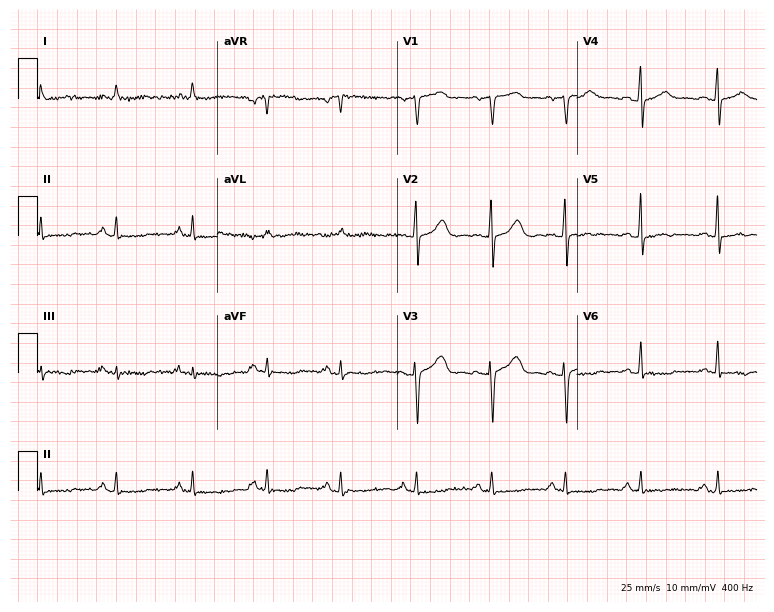
12-lead ECG (7.3-second recording at 400 Hz) from a woman, 62 years old. Screened for six findings — first-degree AV block, right bundle branch block, left bundle branch block, sinus bradycardia, atrial fibrillation, sinus tachycardia — none is recorded.